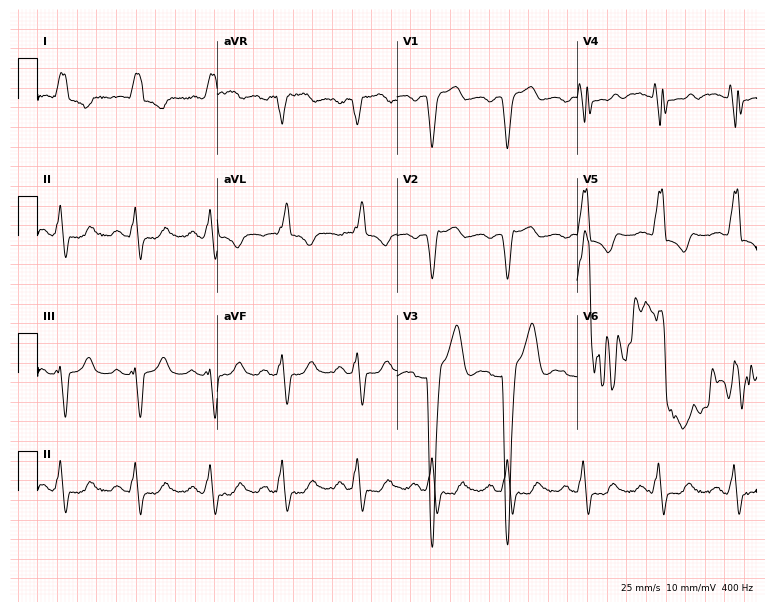
12-lead ECG from an 81-year-old woman (7.3-second recording at 400 Hz). Shows left bundle branch block.